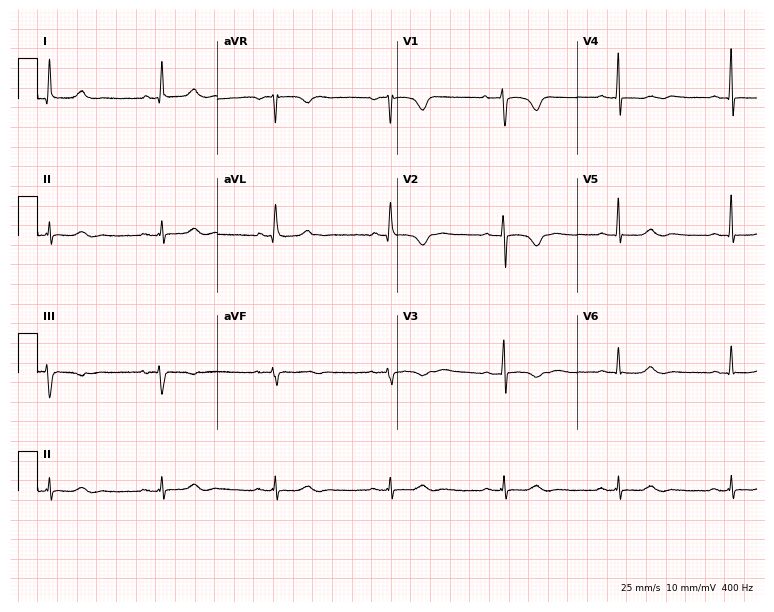
12-lead ECG from a female, 66 years old. Screened for six findings — first-degree AV block, right bundle branch block (RBBB), left bundle branch block (LBBB), sinus bradycardia, atrial fibrillation (AF), sinus tachycardia — none is recorded. Findings outside these six are not listed.